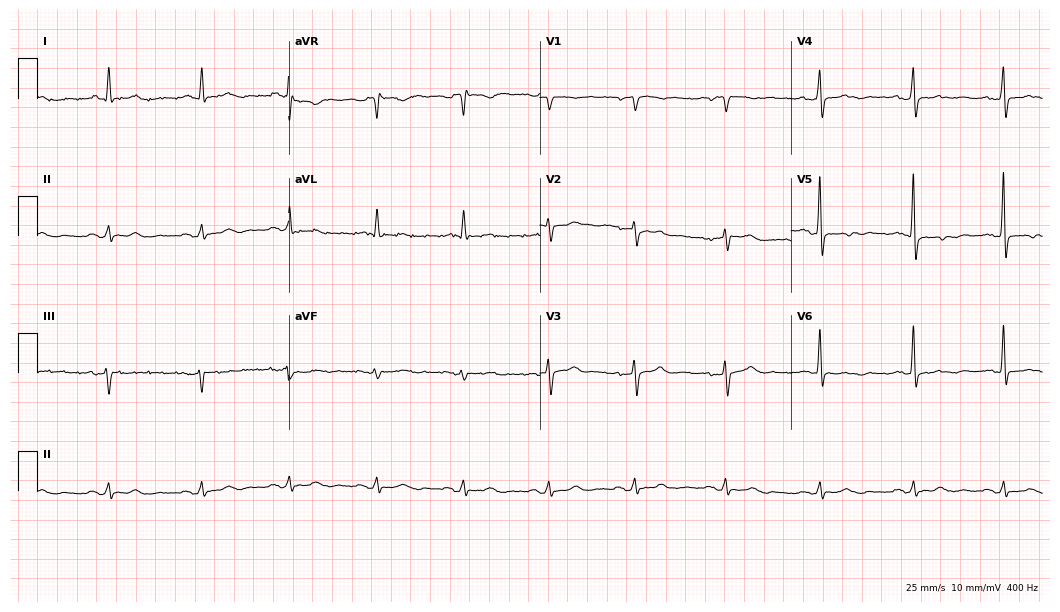
Resting 12-lead electrocardiogram (10.2-second recording at 400 Hz). Patient: a 70-year-old male. None of these six findings is recorded: first-degree AV block, right bundle branch block, left bundle branch block, sinus bradycardia, atrial fibrillation, sinus tachycardia.